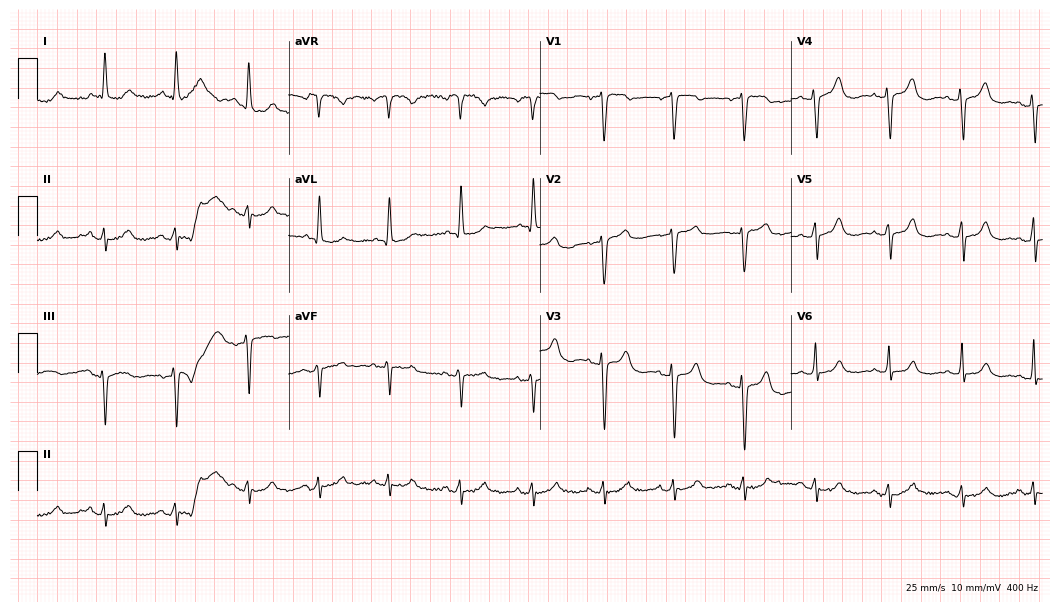
Resting 12-lead electrocardiogram (10.2-second recording at 400 Hz). Patient: a 51-year-old female. None of these six findings is recorded: first-degree AV block, right bundle branch block (RBBB), left bundle branch block (LBBB), sinus bradycardia, atrial fibrillation (AF), sinus tachycardia. Other findings, if any, are not listed.